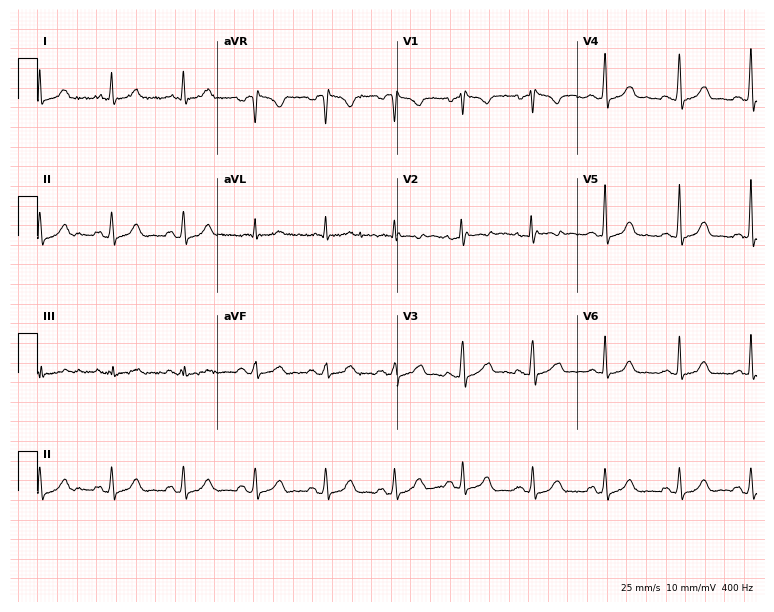
Electrocardiogram, a 34-year-old woman. Overall reading on record: normal ECG.